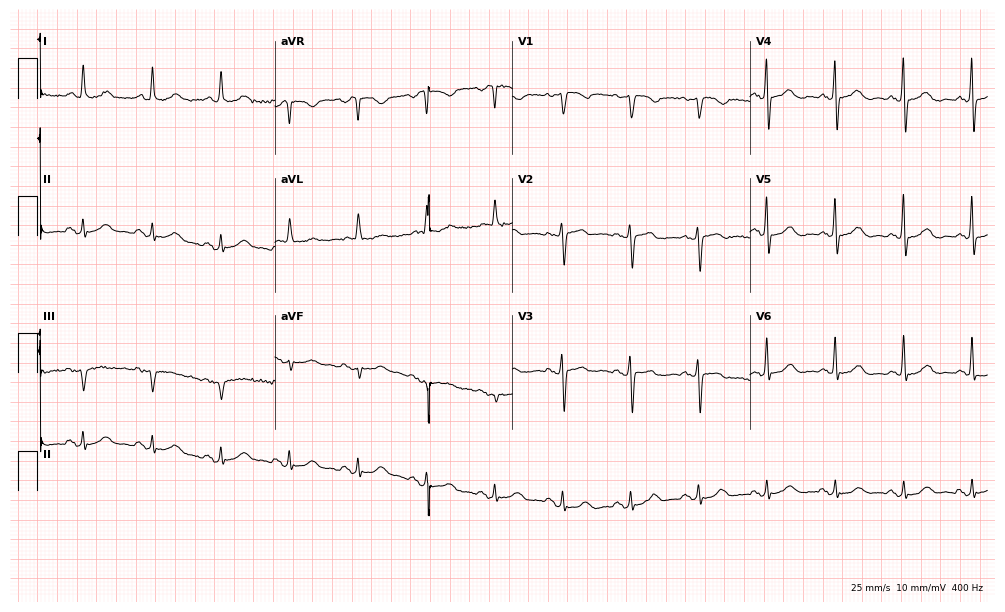
Resting 12-lead electrocardiogram (9.7-second recording at 400 Hz). Patient: a female, 77 years old. None of these six findings is recorded: first-degree AV block, right bundle branch block, left bundle branch block, sinus bradycardia, atrial fibrillation, sinus tachycardia. Only these six findings were labelled.